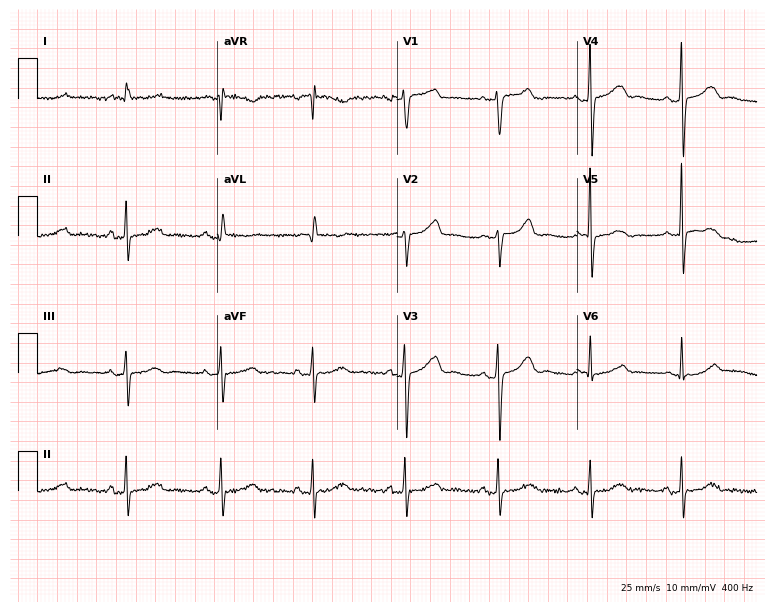
Standard 12-lead ECG recorded from a female, 84 years old. None of these six findings is recorded: first-degree AV block, right bundle branch block, left bundle branch block, sinus bradycardia, atrial fibrillation, sinus tachycardia.